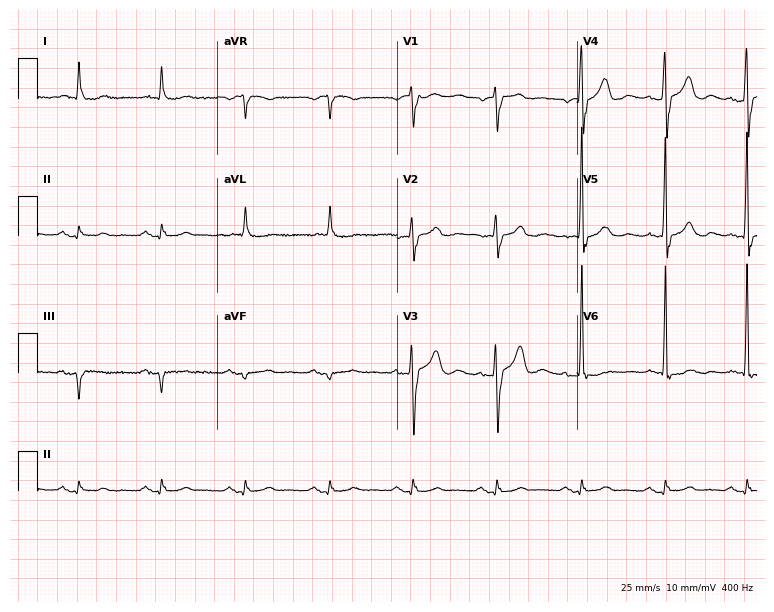
12-lead ECG from a 60-year-old male patient. No first-degree AV block, right bundle branch block, left bundle branch block, sinus bradycardia, atrial fibrillation or sinus tachycardia recorded for this tracing.